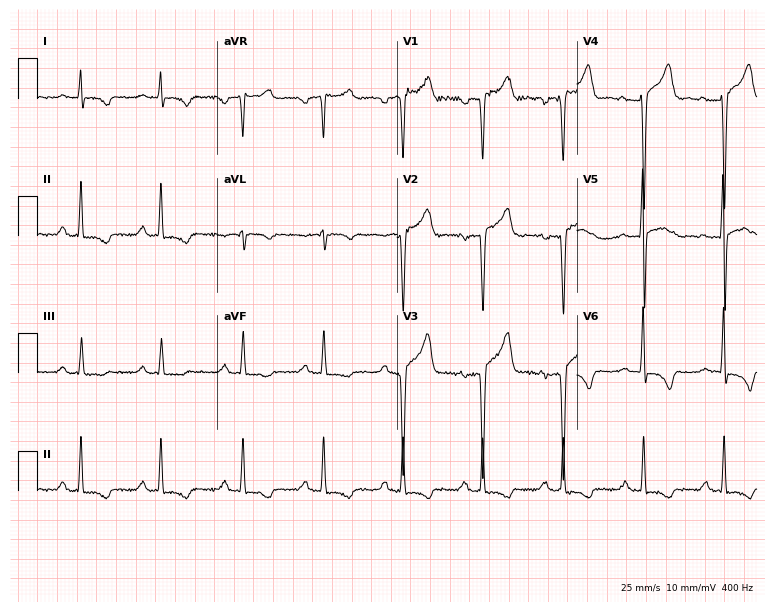
Resting 12-lead electrocardiogram. Patient: a man, 53 years old. None of these six findings is recorded: first-degree AV block, right bundle branch block, left bundle branch block, sinus bradycardia, atrial fibrillation, sinus tachycardia. Findings outside these six are not listed.